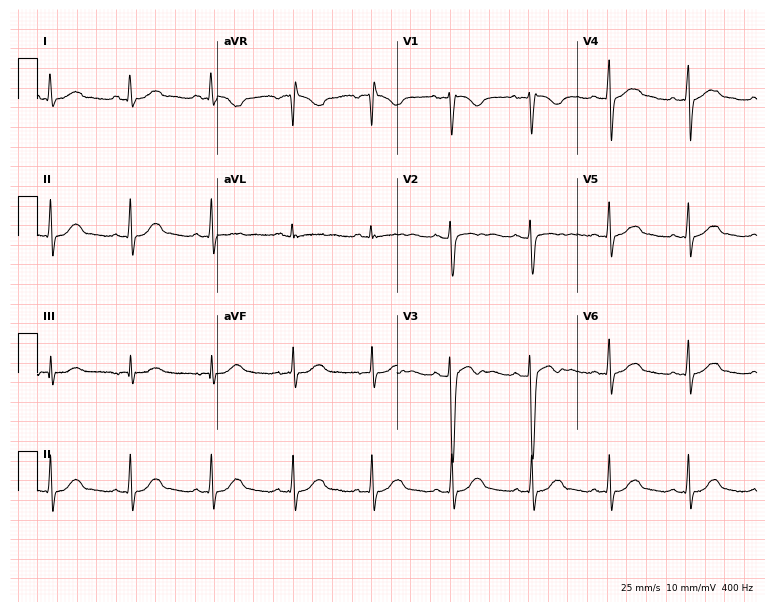
ECG (7.3-second recording at 400 Hz) — a female, 23 years old. Labelled as a normal ECG.